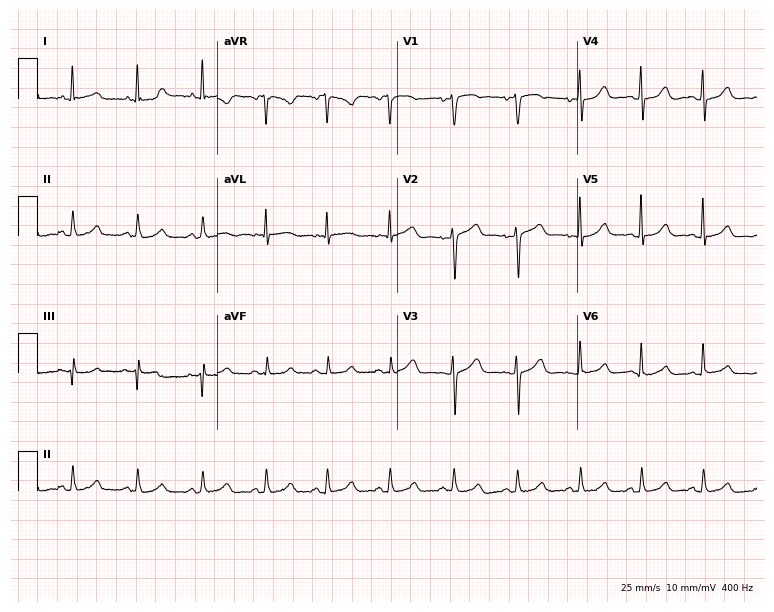
Resting 12-lead electrocardiogram. Patient: a 54-year-old female. Read as a normal ECG.